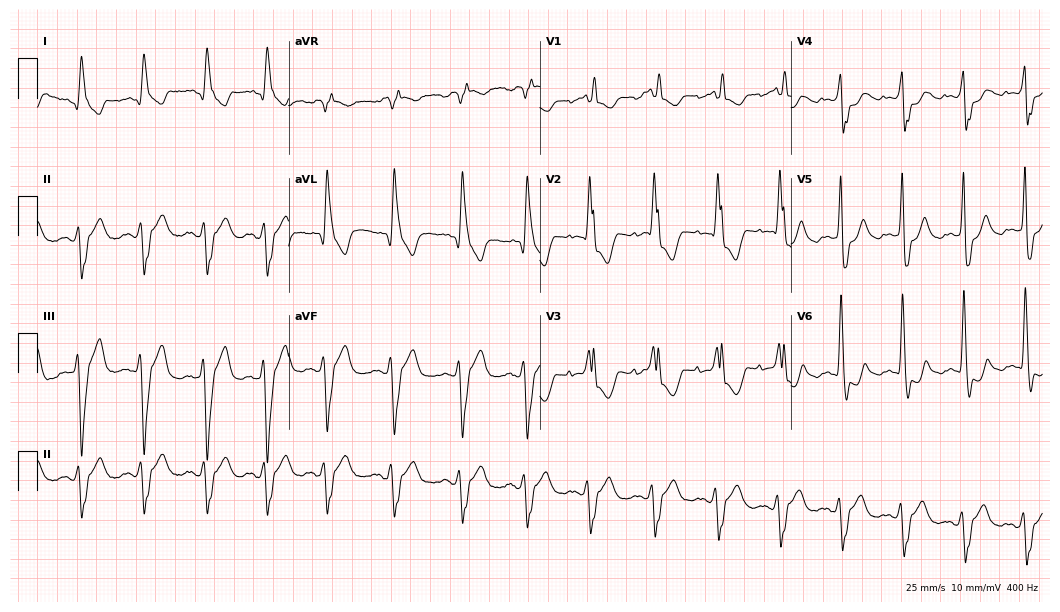
12-lead ECG (10.2-second recording at 400 Hz) from a woman, 71 years old. Findings include right bundle branch block.